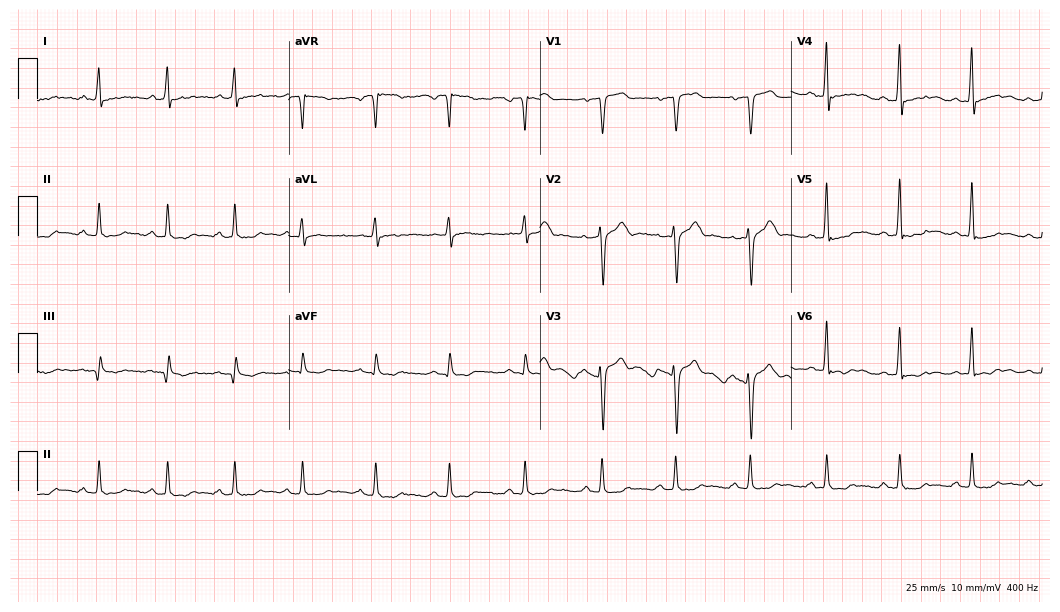
Standard 12-lead ECG recorded from a 39-year-old man (10.2-second recording at 400 Hz). None of these six findings is recorded: first-degree AV block, right bundle branch block, left bundle branch block, sinus bradycardia, atrial fibrillation, sinus tachycardia. Other findings, if any, are not listed.